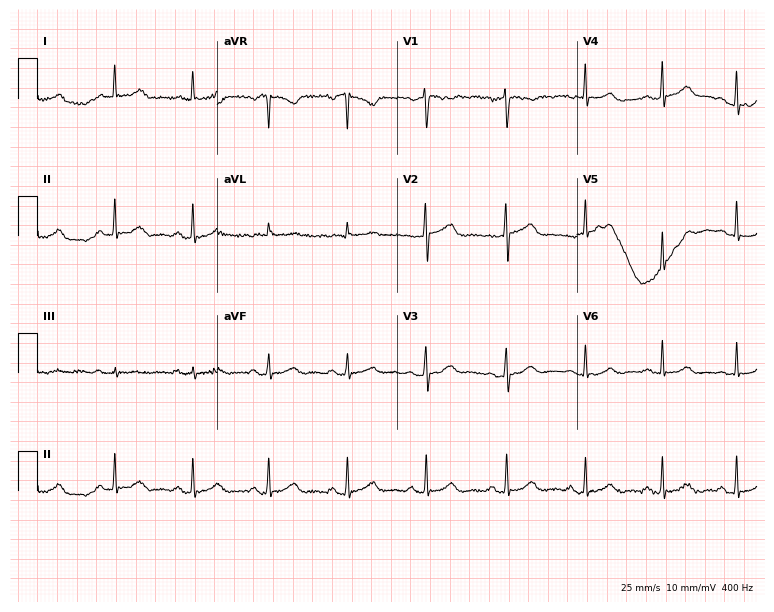
Resting 12-lead electrocardiogram (7.3-second recording at 400 Hz). Patient: a woman, 46 years old. Read as a normal ECG.